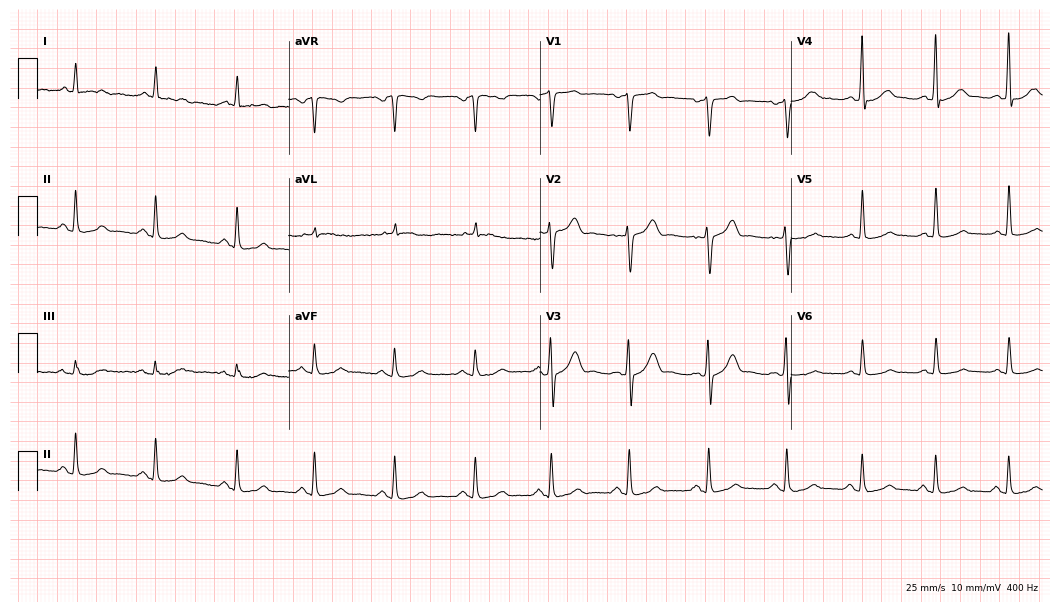
Electrocardiogram, a 53-year-old male patient. Of the six screened findings (first-degree AV block, right bundle branch block (RBBB), left bundle branch block (LBBB), sinus bradycardia, atrial fibrillation (AF), sinus tachycardia), none is recorded.